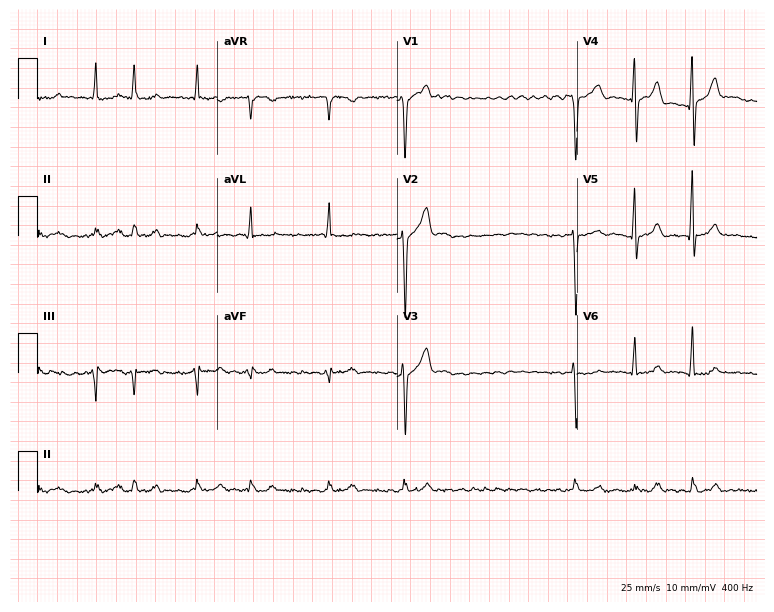
ECG (7.3-second recording at 400 Hz) — a 67-year-old man. Findings include atrial fibrillation (AF).